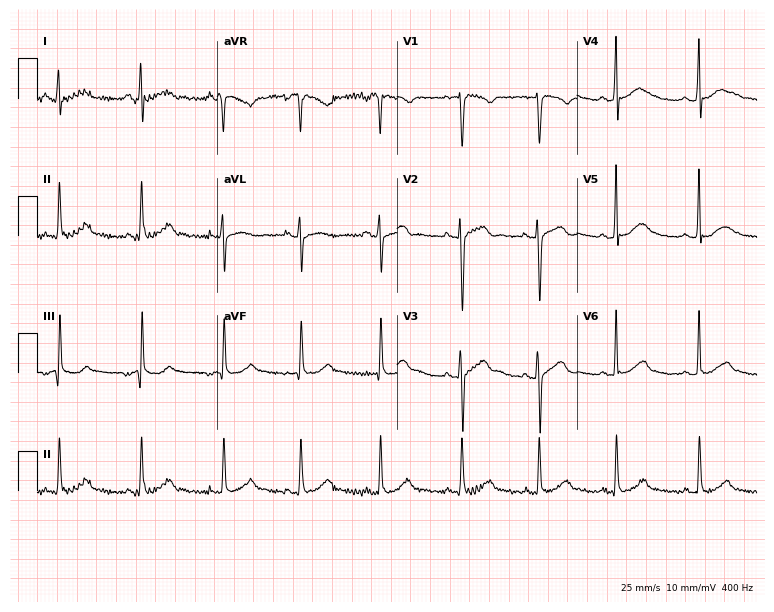
12-lead ECG from a female patient, 21 years old (7.3-second recording at 400 Hz). Recorded interpretation: within normal limits.